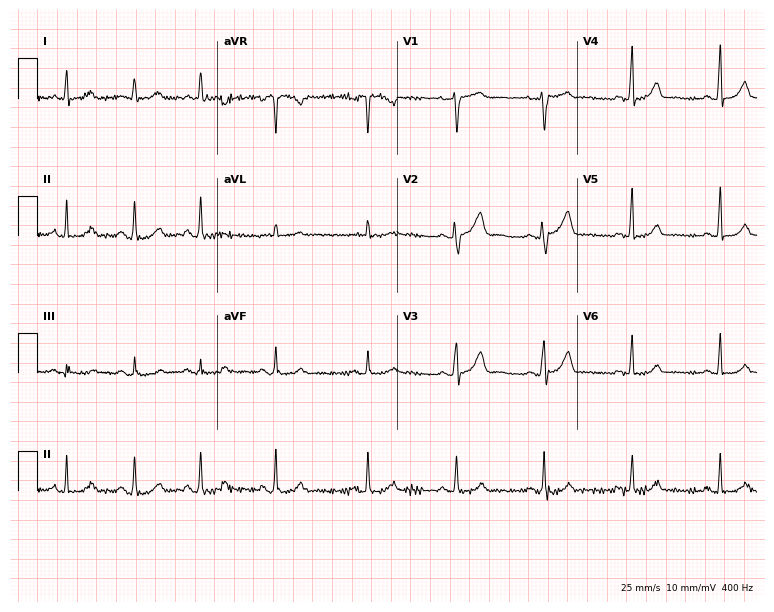
12-lead ECG (7.3-second recording at 400 Hz) from a female patient, 32 years old. Labelled as a normal ECG.